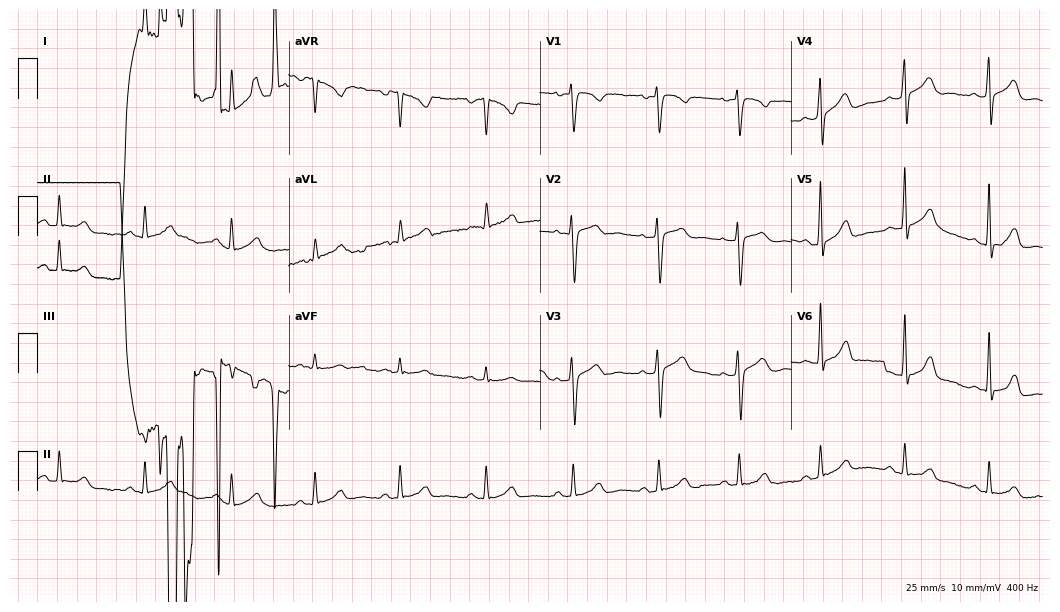
12-lead ECG from a female, 41 years old. Recorded interpretation: within normal limits.